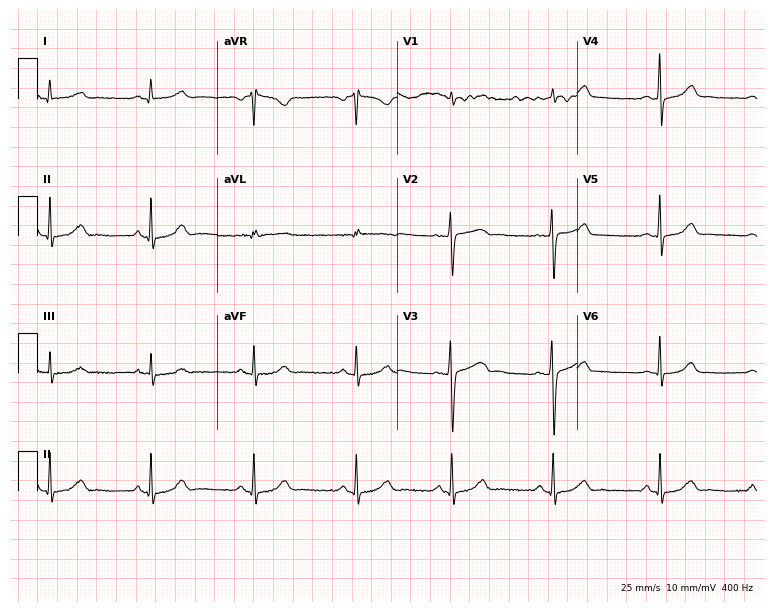
12-lead ECG from a 27-year-old female. Recorded interpretation: within normal limits.